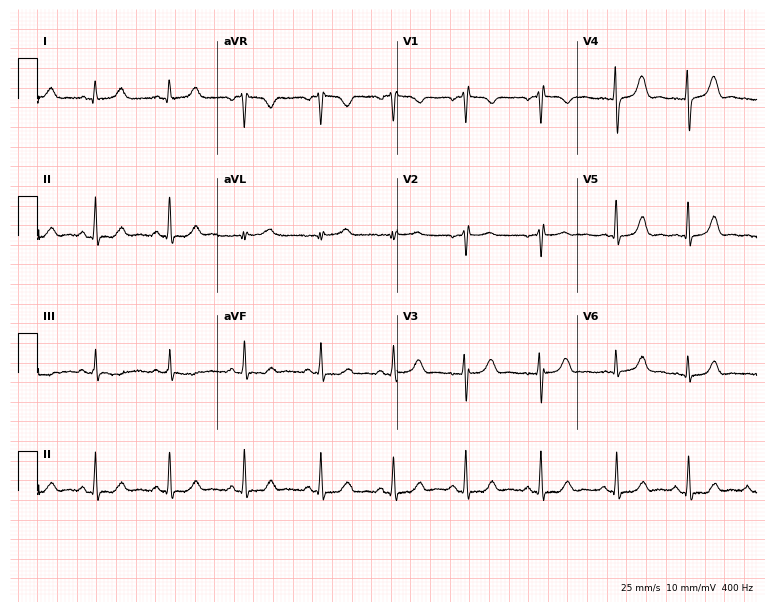
Electrocardiogram (7.3-second recording at 400 Hz), a 25-year-old female. Of the six screened findings (first-degree AV block, right bundle branch block, left bundle branch block, sinus bradycardia, atrial fibrillation, sinus tachycardia), none is recorded. Only these six findings were labelled.